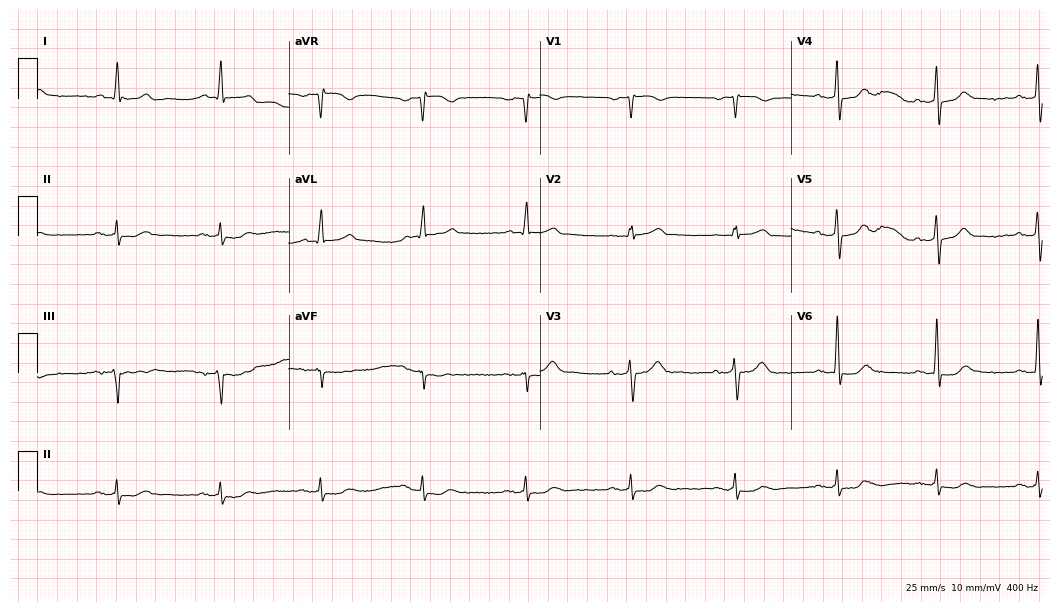
12-lead ECG from a male patient, 71 years old (10.2-second recording at 400 Hz). No first-degree AV block, right bundle branch block, left bundle branch block, sinus bradycardia, atrial fibrillation or sinus tachycardia recorded for this tracing.